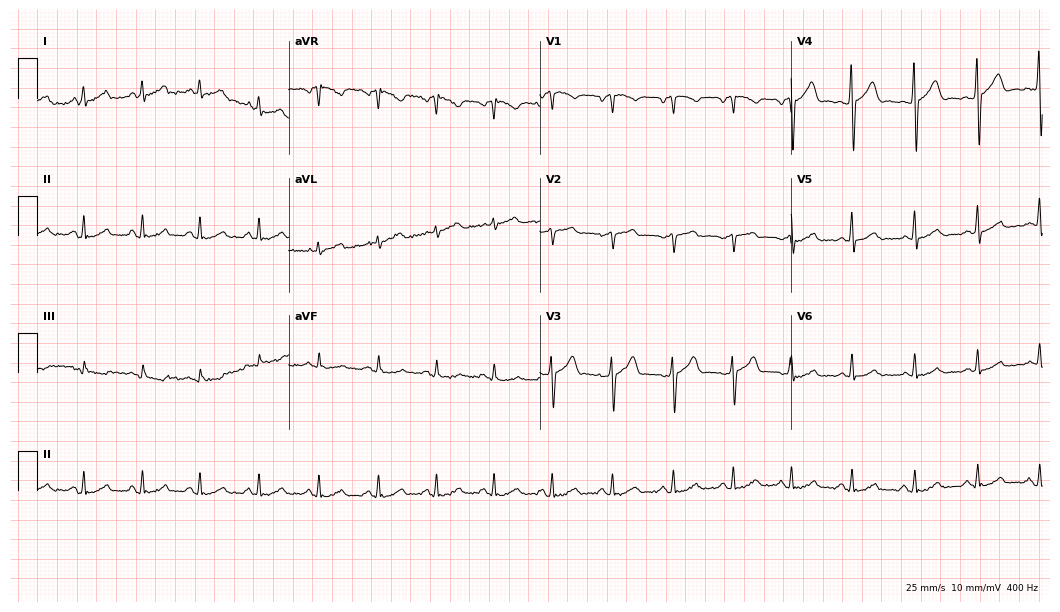
Standard 12-lead ECG recorded from a male patient, 58 years old (10.2-second recording at 400 Hz). Read as a normal ECG.